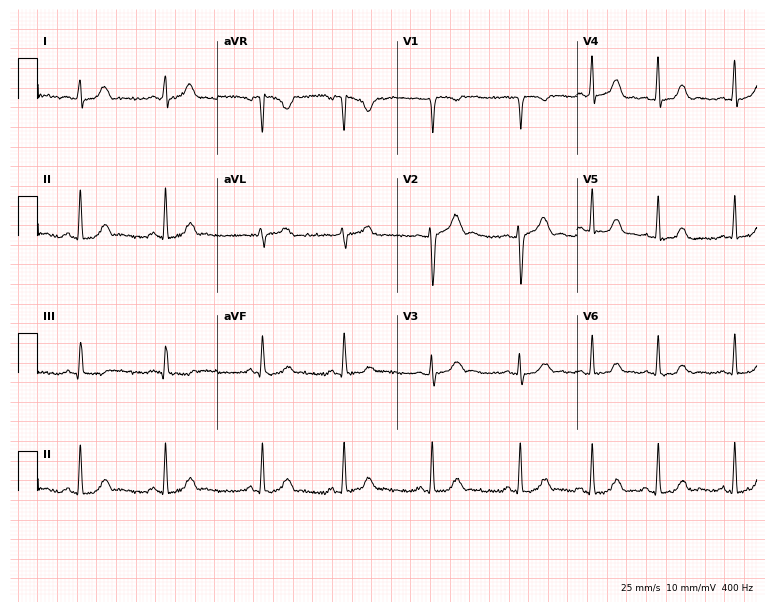
ECG (7.3-second recording at 400 Hz) — a 17-year-old female. Screened for six findings — first-degree AV block, right bundle branch block, left bundle branch block, sinus bradycardia, atrial fibrillation, sinus tachycardia — none is recorded.